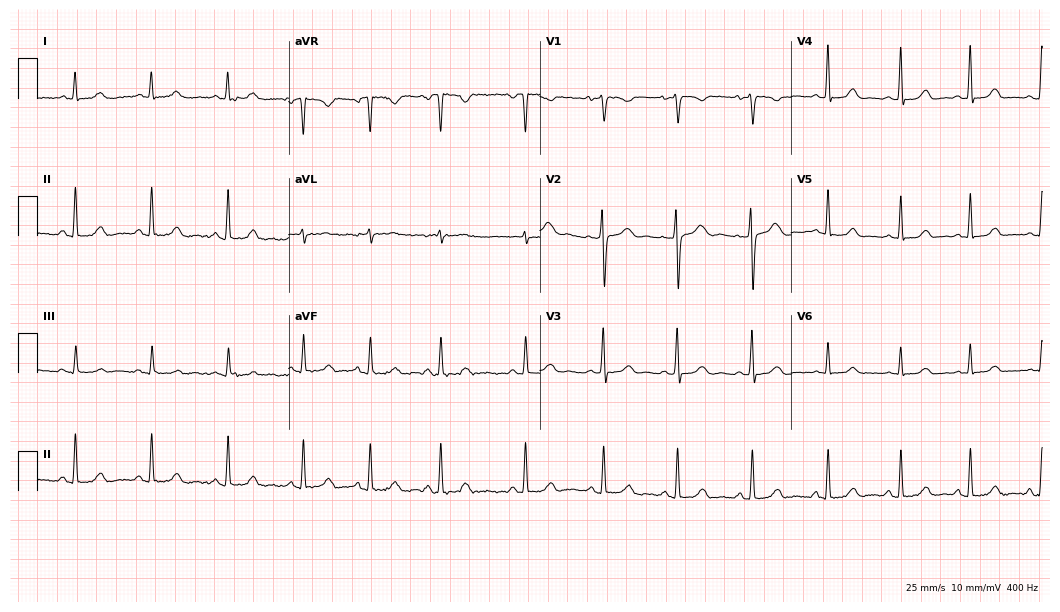
Standard 12-lead ECG recorded from a 28-year-old female patient. Read as a normal ECG.